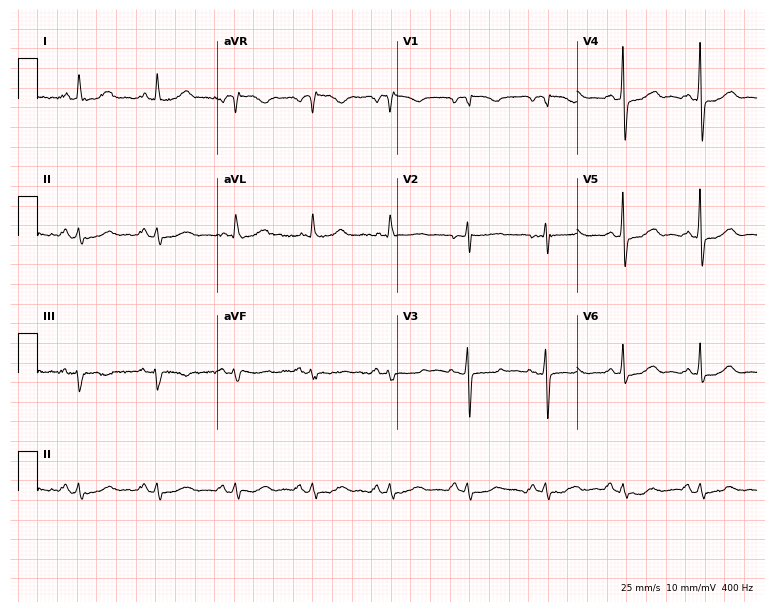
Standard 12-lead ECG recorded from a 64-year-old female. Read as a normal ECG.